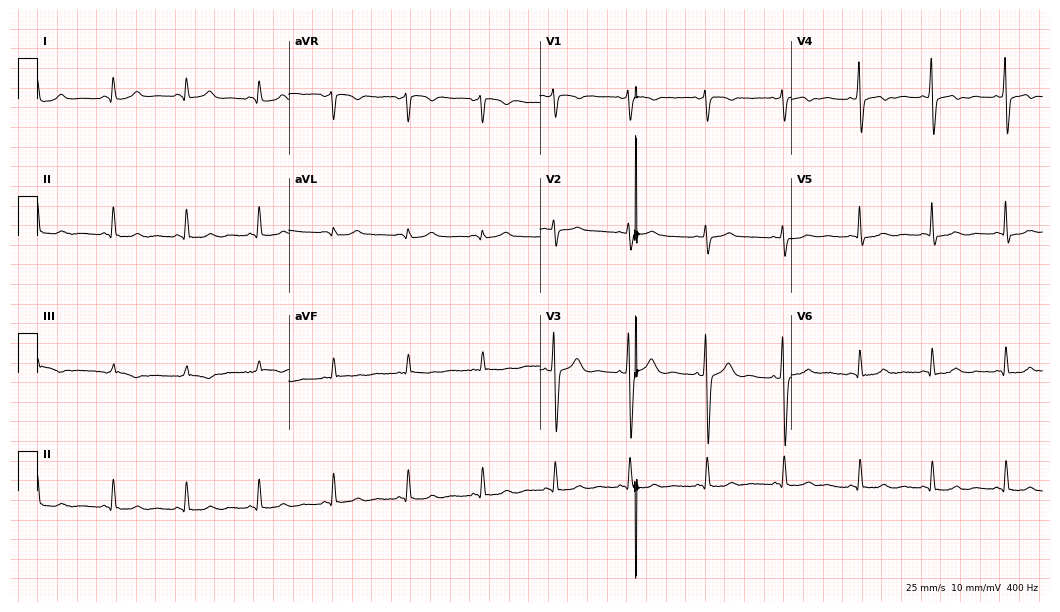
ECG — a woman, 39 years old. Labelled as a normal ECG.